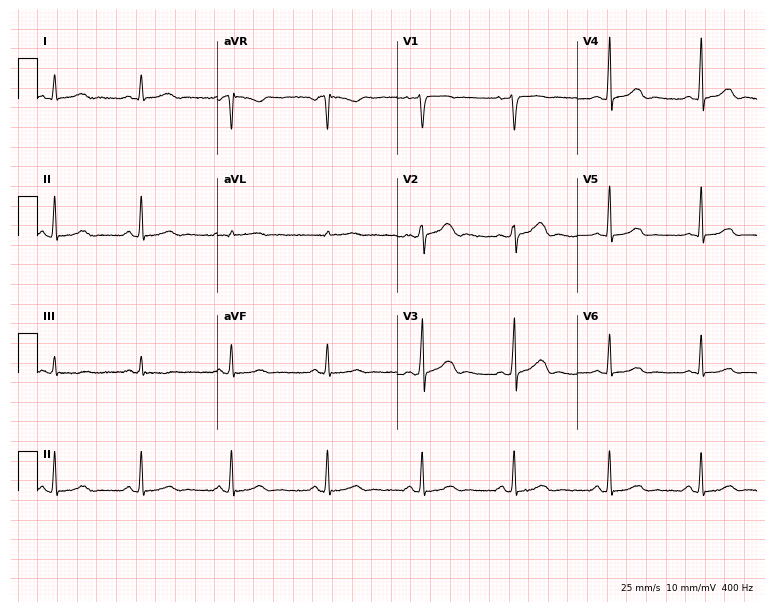
12-lead ECG from a 28-year-old female patient. No first-degree AV block, right bundle branch block, left bundle branch block, sinus bradycardia, atrial fibrillation or sinus tachycardia recorded for this tracing.